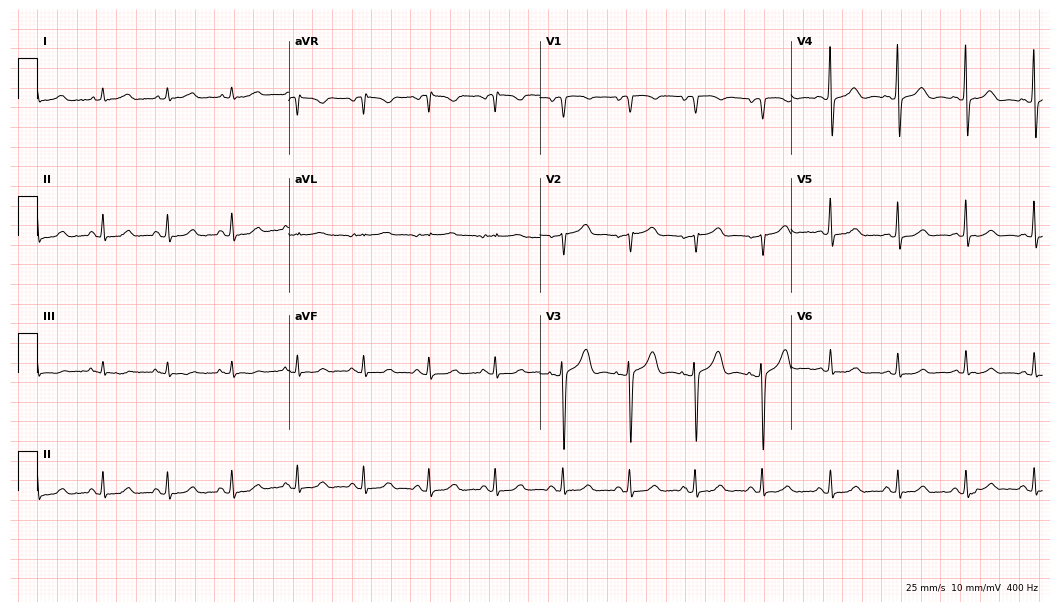
Standard 12-lead ECG recorded from a 64-year-old female patient (10.2-second recording at 400 Hz). Read as a normal ECG.